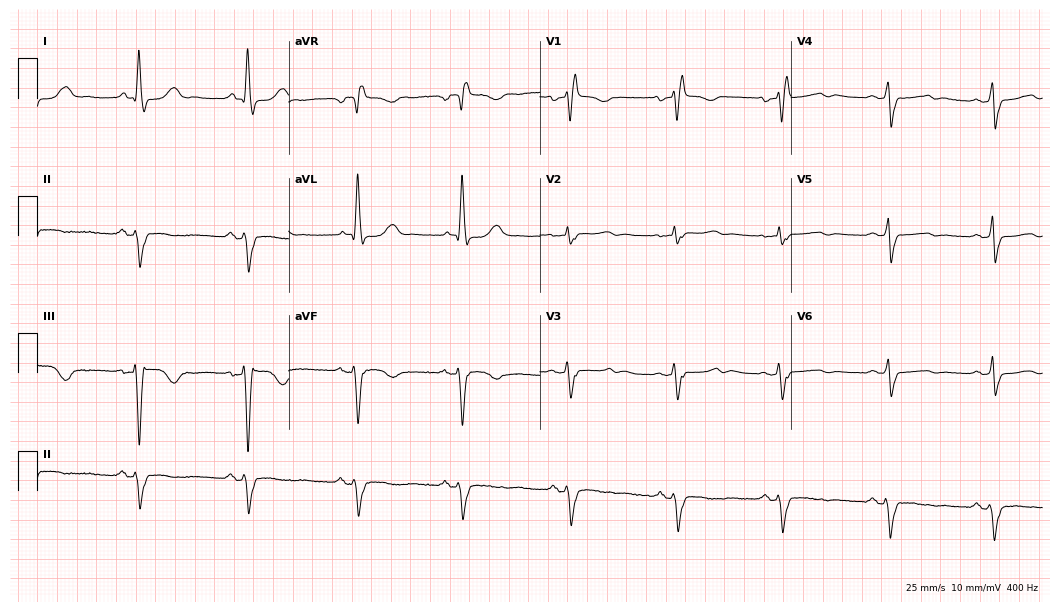
Resting 12-lead electrocardiogram (10.2-second recording at 400 Hz). Patient: a 63-year-old female. The tracing shows right bundle branch block.